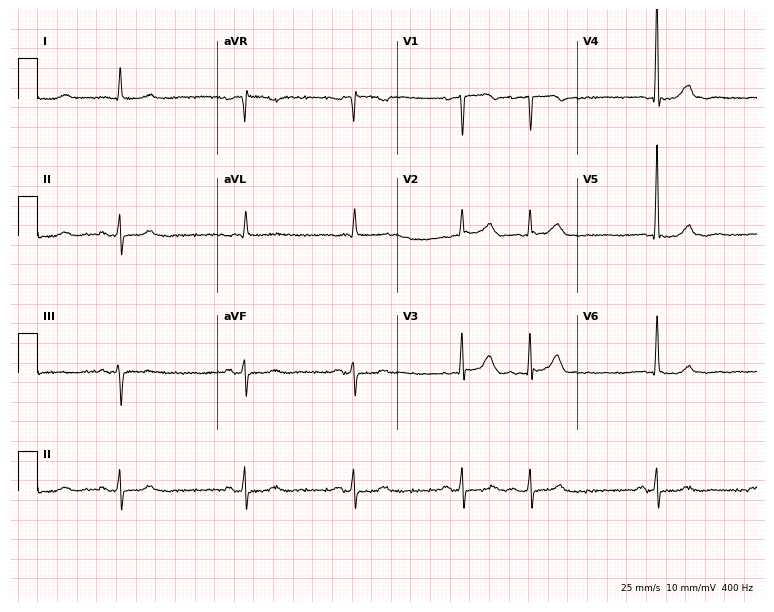
Electrocardiogram, an 85-year-old man. Overall reading on record: normal ECG.